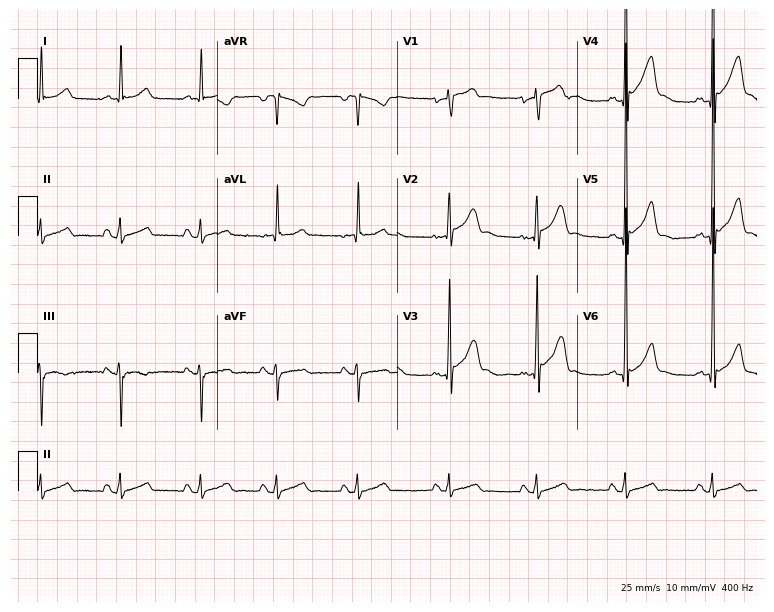
12-lead ECG (7.3-second recording at 400 Hz) from a male patient, 44 years old. Screened for six findings — first-degree AV block, right bundle branch block, left bundle branch block, sinus bradycardia, atrial fibrillation, sinus tachycardia — none is recorded. Findings outside these six are not listed.